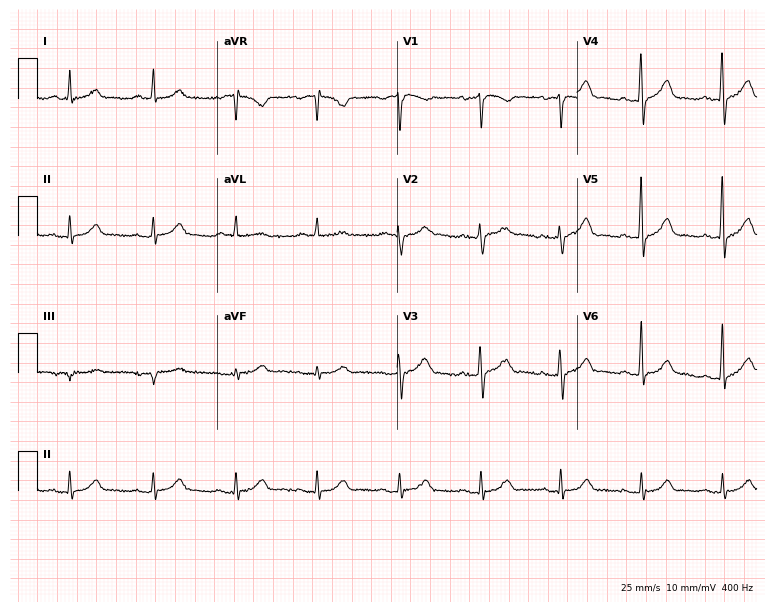
Electrocardiogram, a 69-year-old male patient. Of the six screened findings (first-degree AV block, right bundle branch block, left bundle branch block, sinus bradycardia, atrial fibrillation, sinus tachycardia), none is recorded. Findings outside these six are not listed.